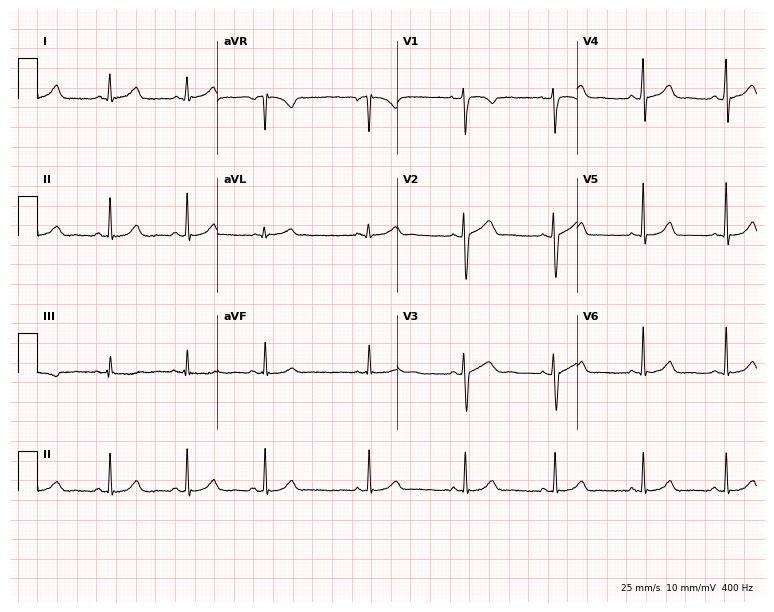
ECG (7.3-second recording at 400 Hz) — a 34-year-old female patient. Screened for six findings — first-degree AV block, right bundle branch block (RBBB), left bundle branch block (LBBB), sinus bradycardia, atrial fibrillation (AF), sinus tachycardia — none is recorded.